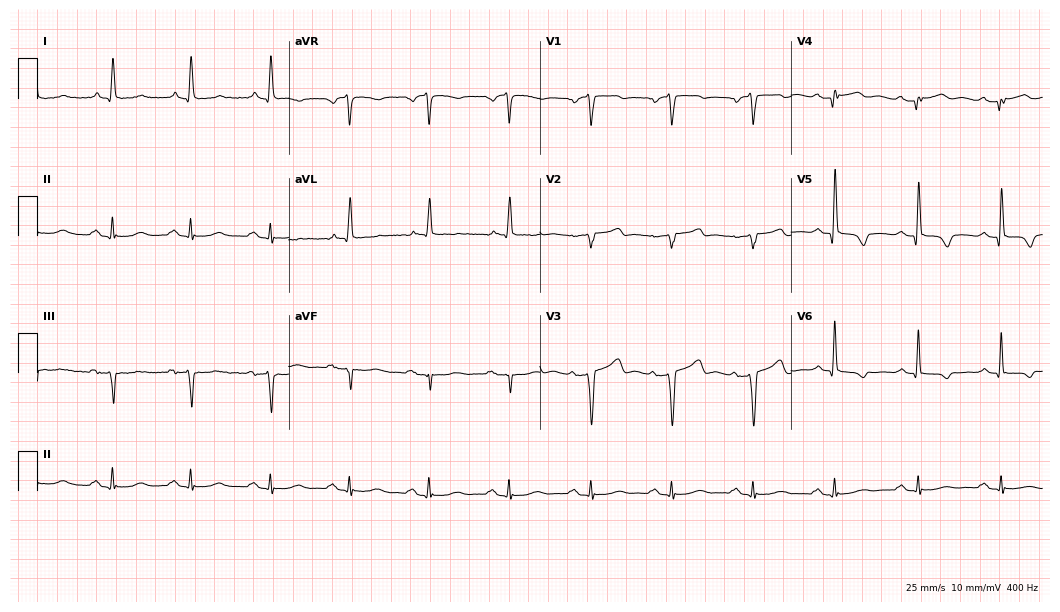
Electrocardiogram, a man, 70 years old. Overall reading on record: normal ECG.